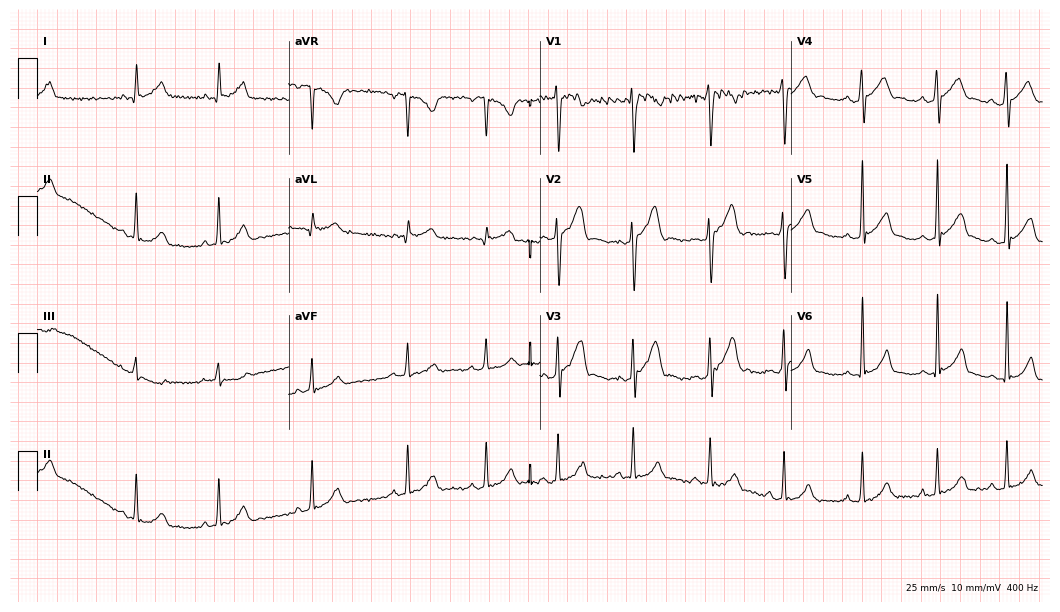
Electrocardiogram, a 21-year-old male patient. Overall reading on record: normal ECG.